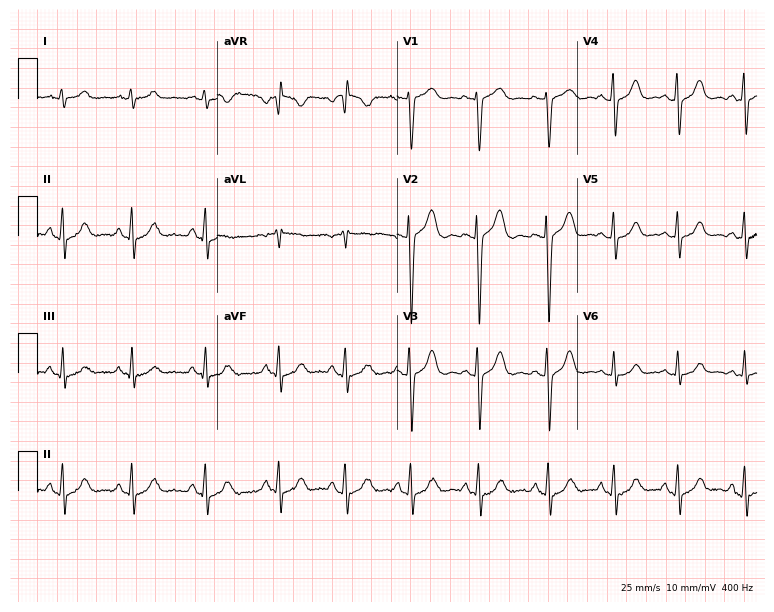
Standard 12-lead ECG recorded from a 20-year-old female patient. Read as a normal ECG.